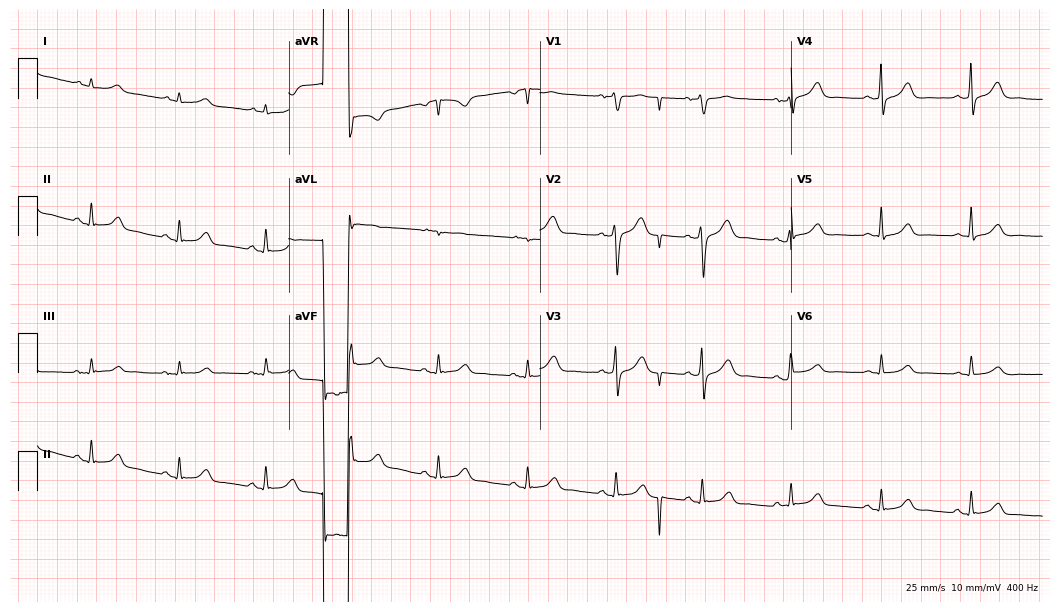
ECG — a male, 67 years old. Screened for six findings — first-degree AV block, right bundle branch block (RBBB), left bundle branch block (LBBB), sinus bradycardia, atrial fibrillation (AF), sinus tachycardia — none is recorded.